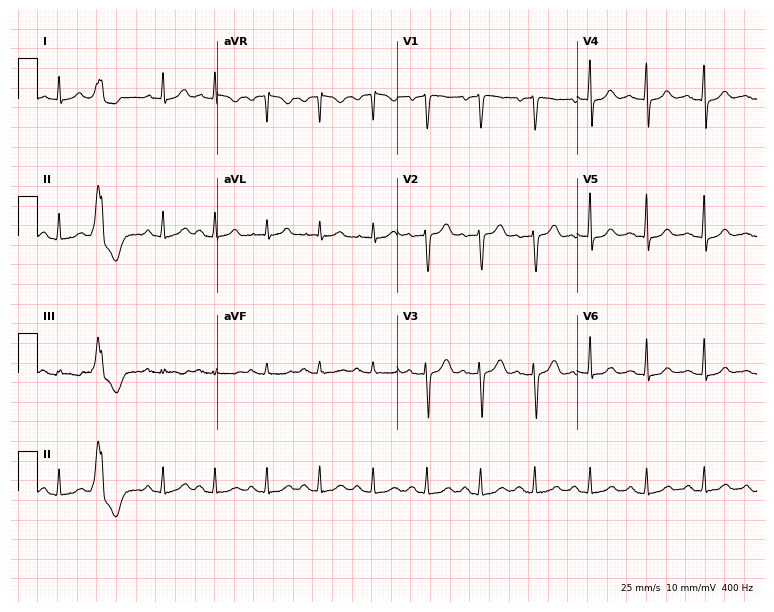
Electrocardiogram, a 50-year-old woman. Of the six screened findings (first-degree AV block, right bundle branch block (RBBB), left bundle branch block (LBBB), sinus bradycardia, atrial fibrillation (AF), sinus tachycardia), none is recorded. Only these six findings were labelled.